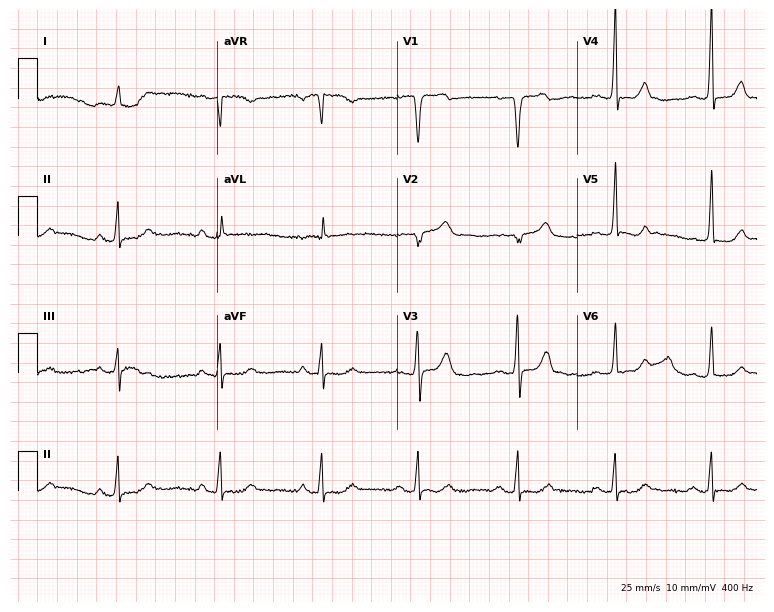
12-lead ECG from a female, 74 years old (7.3-second recording at 400 Hz). Recorded interpretation: within normal limits.